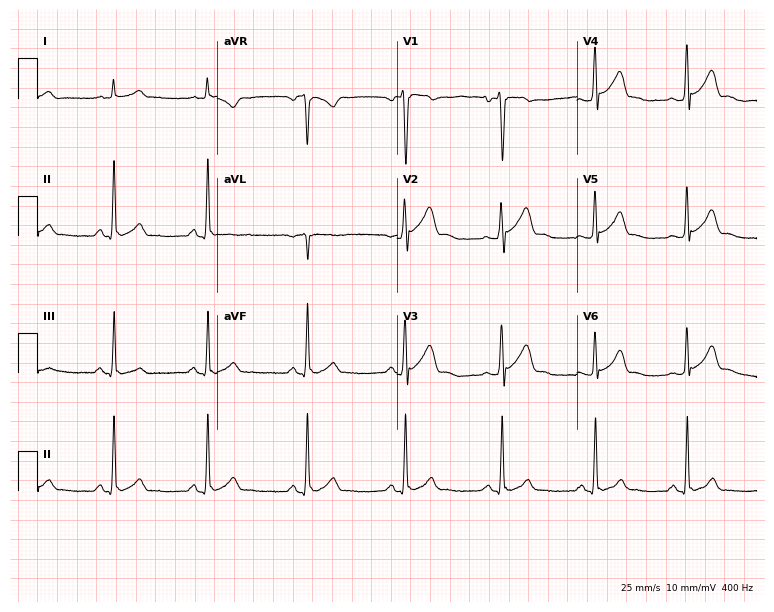
Resting 12-lead electrocardiogram (7.3-second recording at 400 Hz). Patient: a 20-year-old man. Read as a normal ECG.